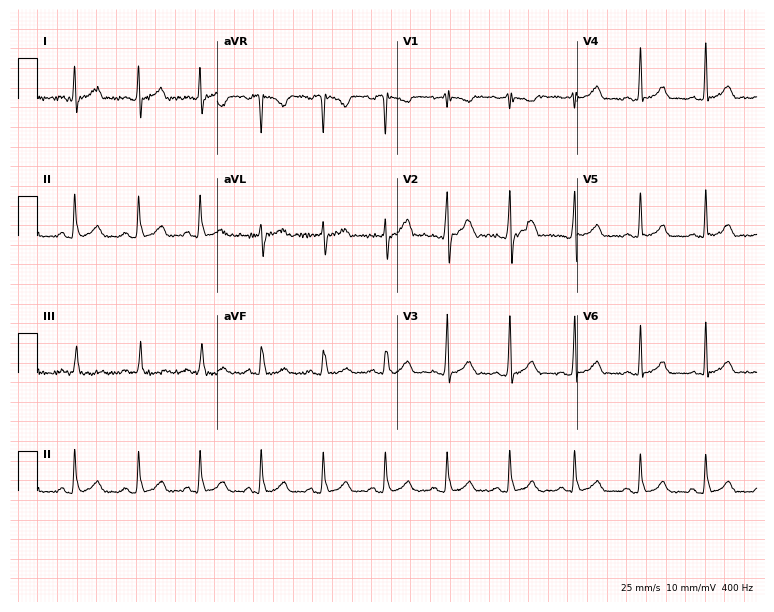
ECG (7.3-second recording at 400 Hz) — a 28-year-old man. Labelled as a normal ECG.